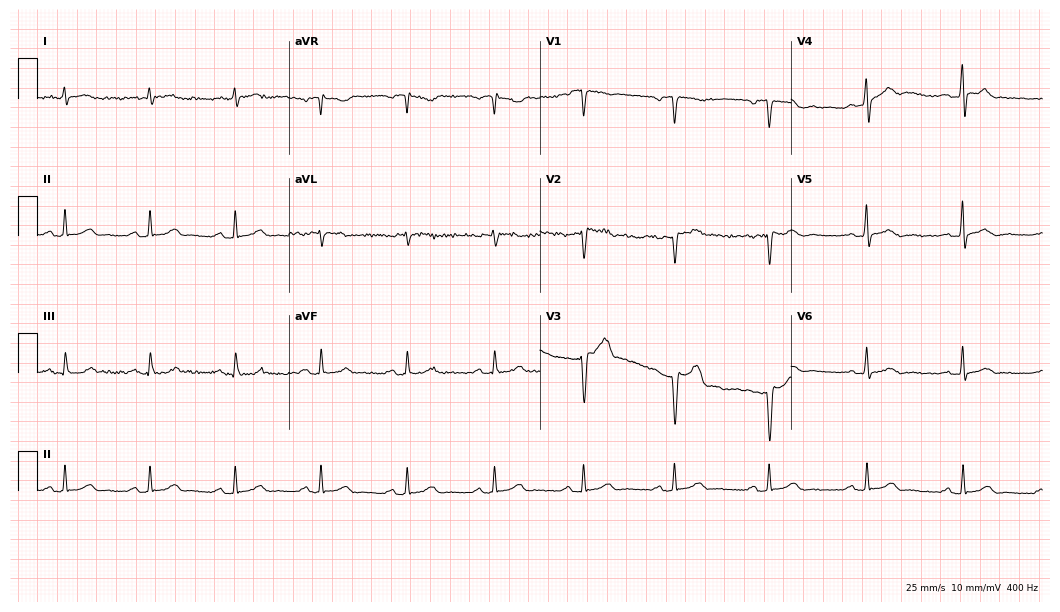
12-lead ECG (10.2-second recording at 400 Hz) from a 50-year-old male. Labelled as a normal ECG.